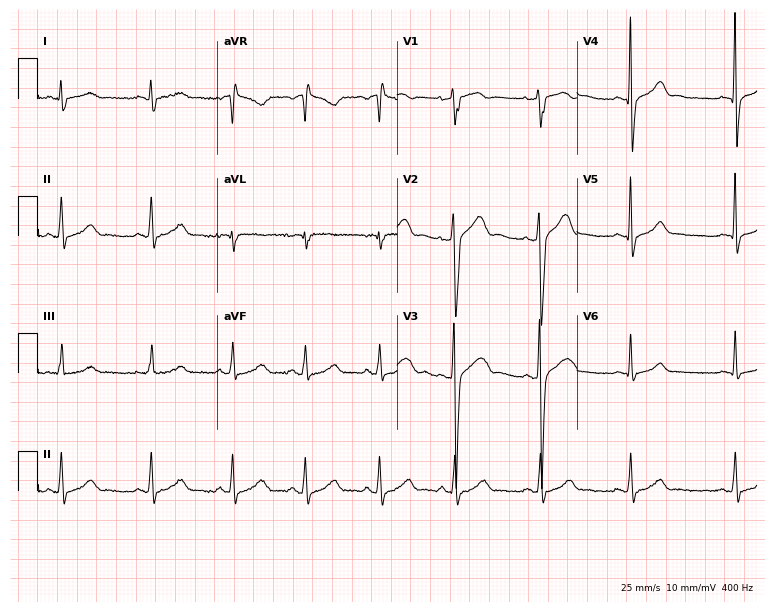
12-lead ECG from a 27-year-old male. No first-degree AV block, right bundle branch block, left bundle branch block, sinus bradycardia, atrial fibrillation or sinus tachycardia recorded for this tracing. Other findings, if any, are not listed.